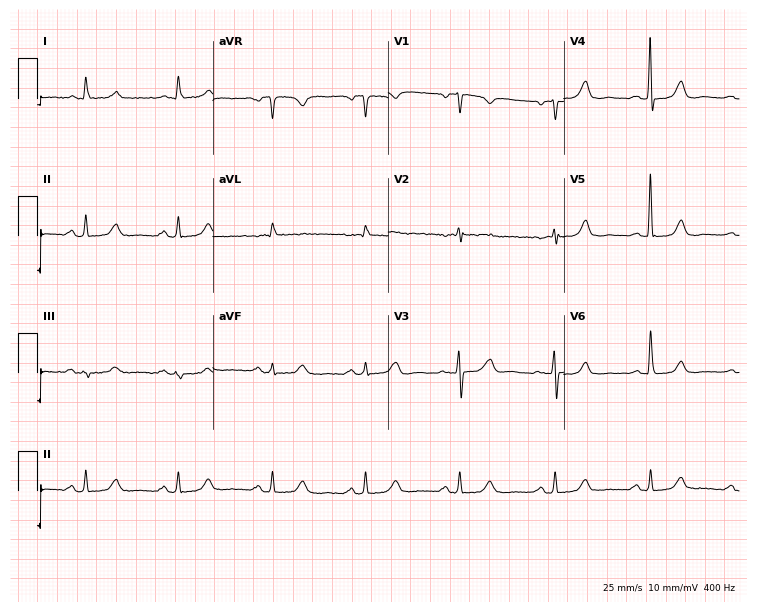
Standard 12-lead ECG recorded from a 74-year-old female patient (7.2-second recording at 400 Hz). Read as a normal ECG.